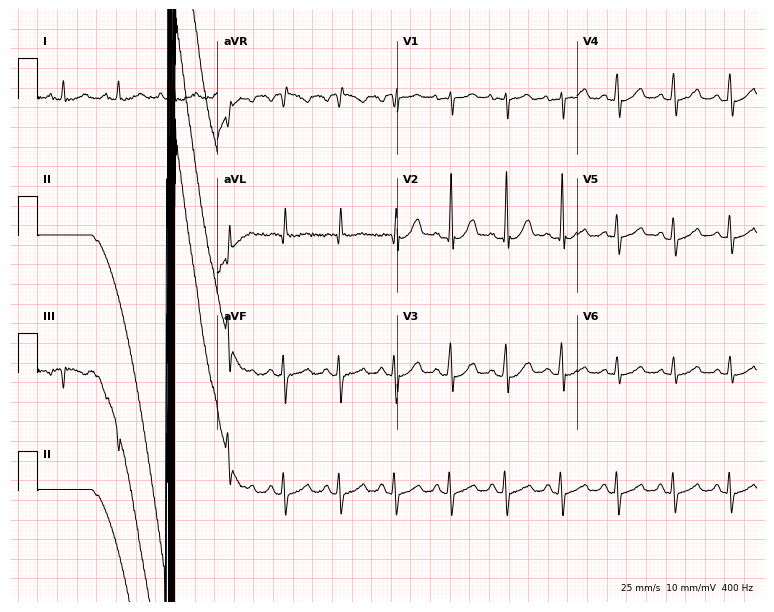
Standard 12-lead ECG recorded from a male patient, 77 years old (7.3-second recording at 400 Hz). The tracing shows sinus tachycardia (a sinus rate of 100 beats per minute or more).